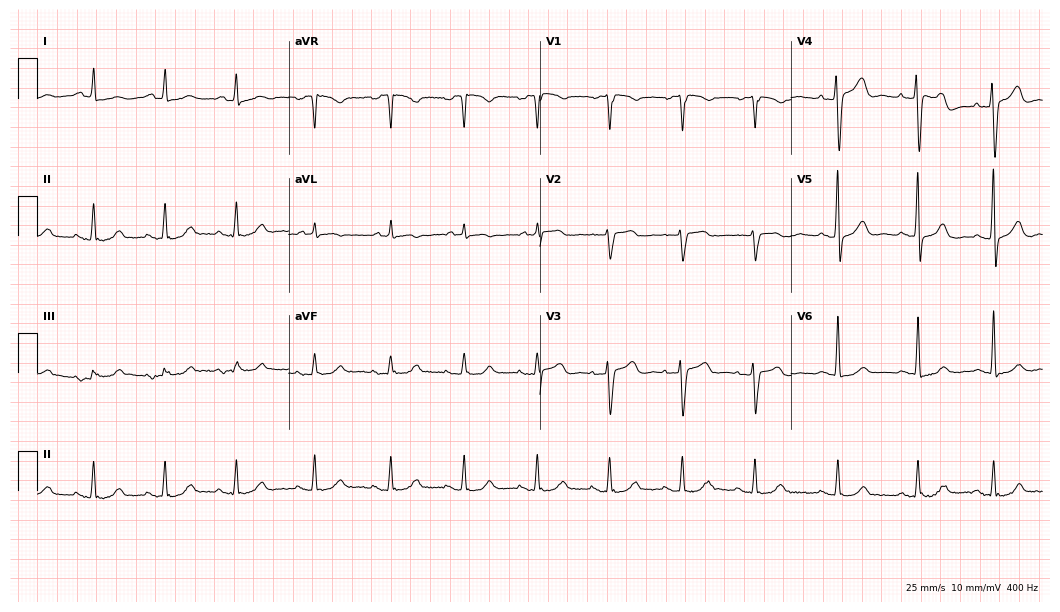
12-lead ECG from a female, 76 years old. Labelled as a normal ECG.